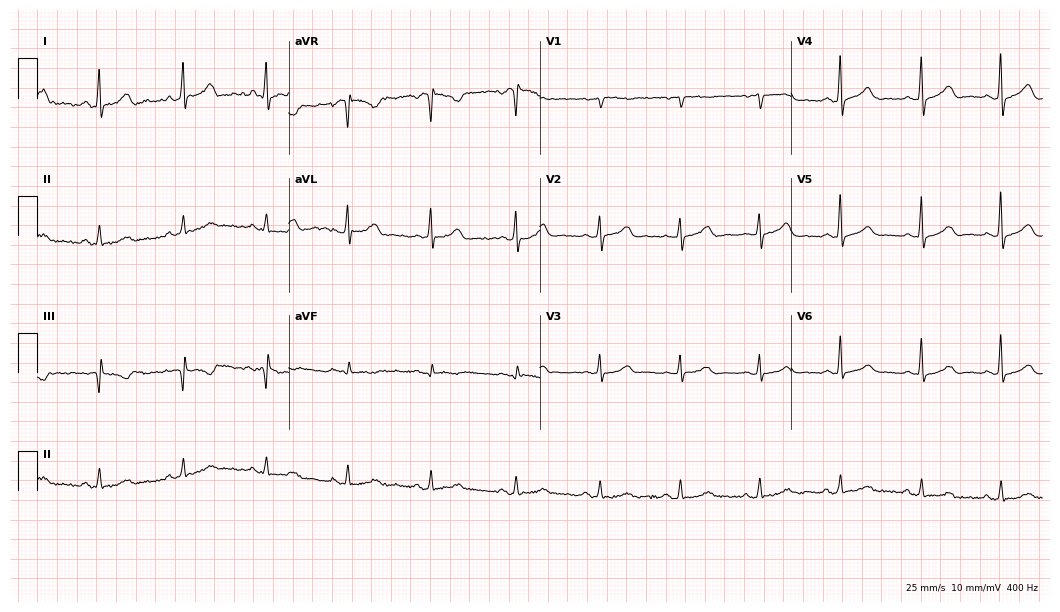
Standard 12-lead ECG recorded from a 57-year-old woman (10.2-second recording at 400 Hz). Read as a normal ECG.